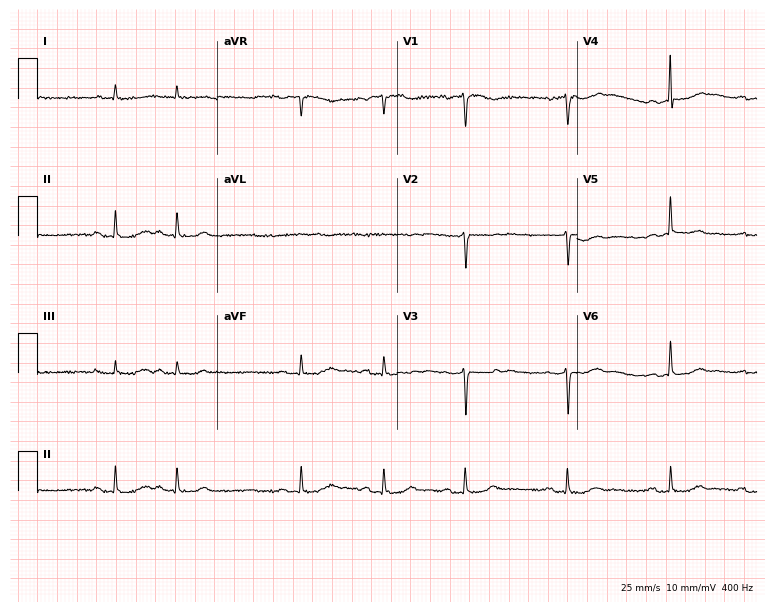
Standard 12-lead ECG recorded from a female patient, 81 years old (7.3-second recording at 400 Hz). Read as a normal ECG.